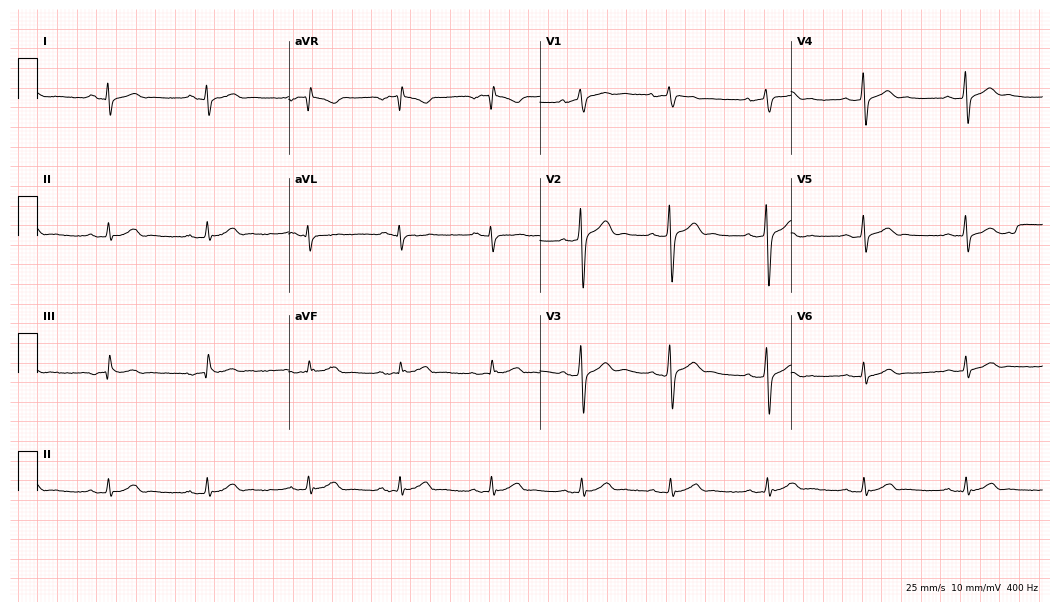
Resting 12-lead electrocardiogram. Patient: a 37-year-old male. None of these six findings is recorded: first-degree AV block, right bundle branch block (RBBB), left bundle branch block (LBBB), sinus bradycardia, atrial fibrillation (AF), sinus tachycardia.